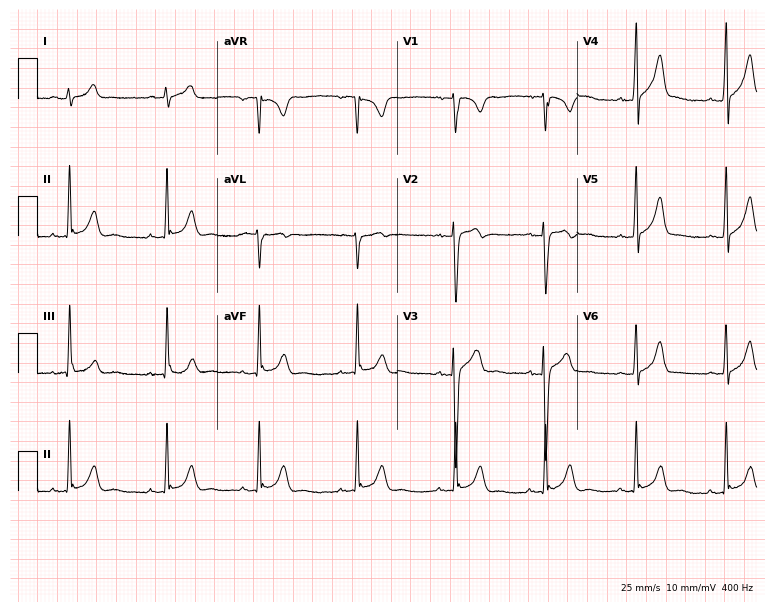
Resting 12-lead electrocardiogram (7.3-second recording at 400 Hz). Patient: a male, 18 years old. Read as a normal ECG.